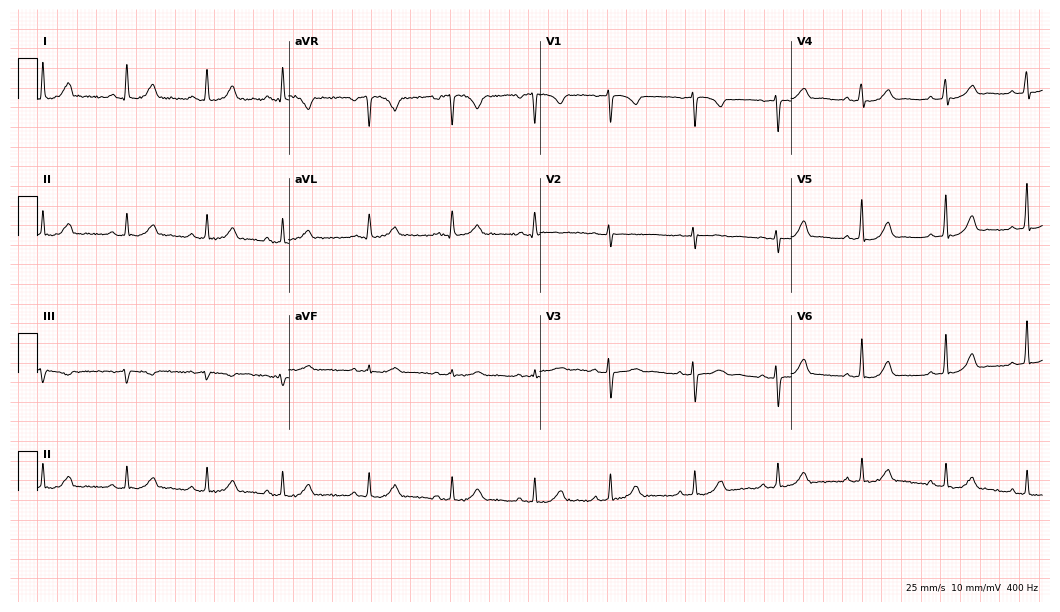
Electrocardiogram (10.2-second recording at 400 Hz), a woman, 40 years old. Overall reading on record: normal ECG.